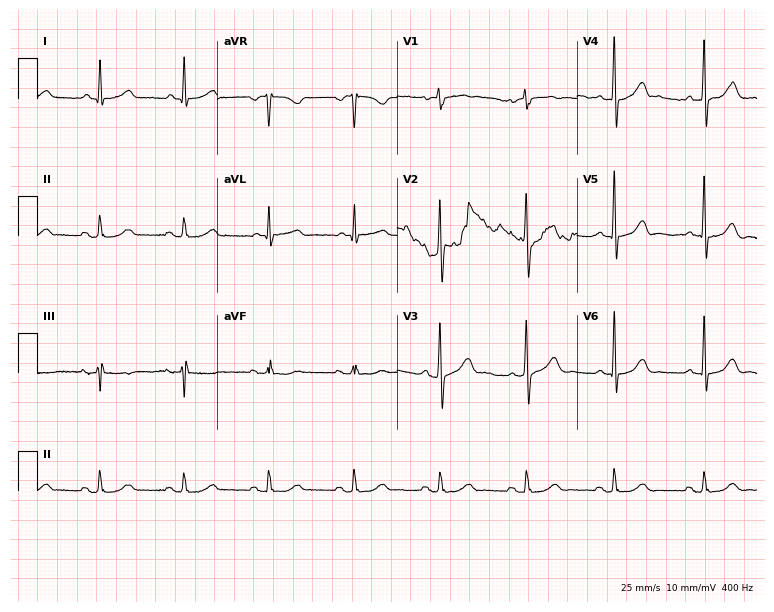
Standard 12-lead ECG recorded from a male patient, 70 years old (7.3-second recording at 400 Hz). None of these six findings is recorded: first-degree AV block, right bundle branch block (RBBB), left bundle branch block (LBBB), sinus bradycardia, atrial fibrillation (AF), sinus tachycardia.